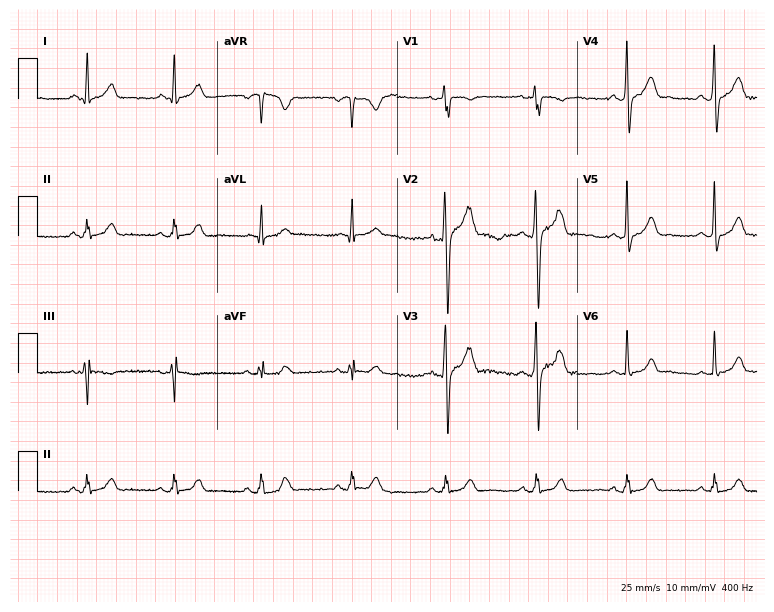
Electrocardiogram, a 28-year-old man. Of the six screened findings (first-degree AV block, right bundle branch block, left bundle branch block, sinus bradycardia, atrial fibrillation, sinus tachycardia), none is recorded.